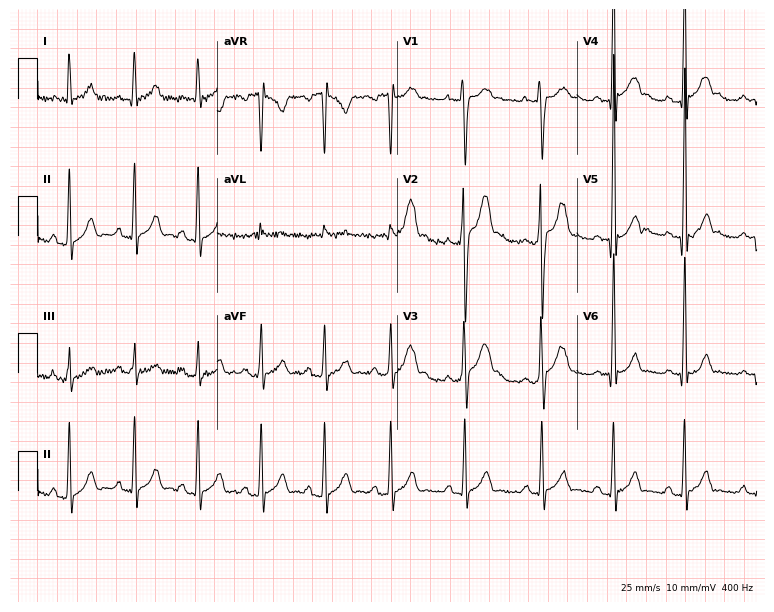
Resting 12-lead electrocardiogram. Patient: a male, 22 years old. None of these six findings is recorded: first-degree AV block, right bundle branch block, left bundle branch block, sinus bradycardia, atrial fibrillation, sinus tachycardia.